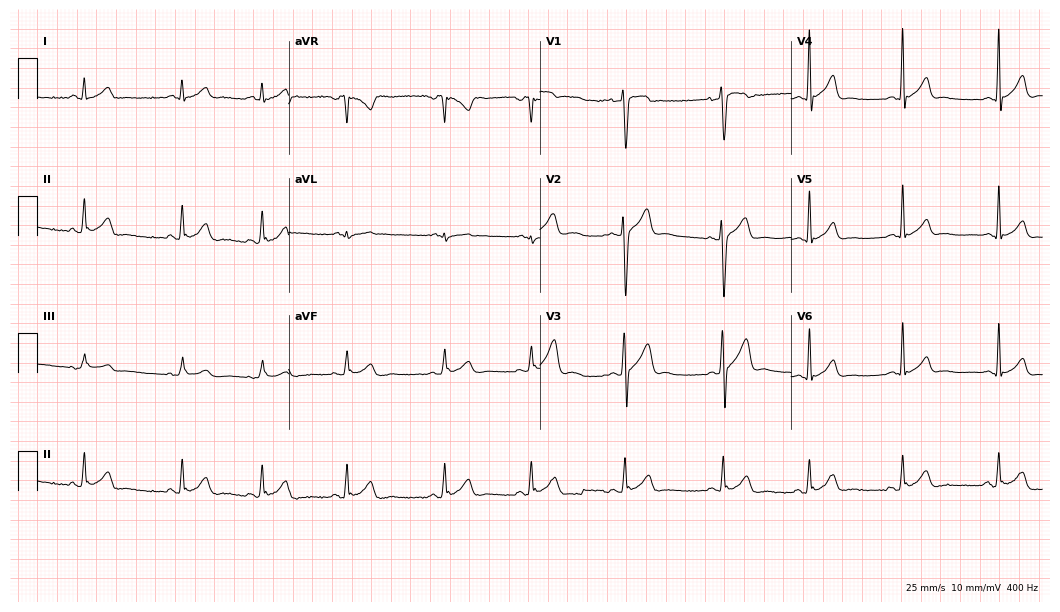
Standard 12-lead ECG recorded from a male, 18 years old (10.2-second recording at 400 Hz). Read as a normal ECG.